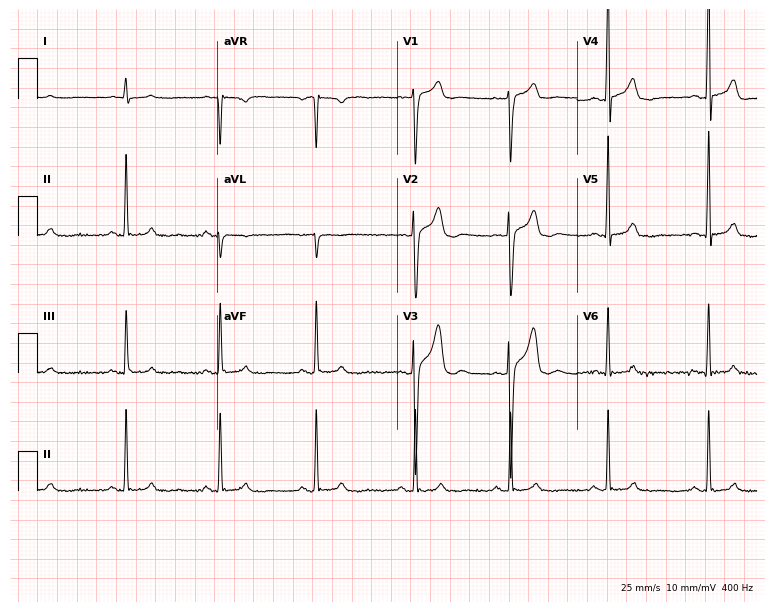
Electrocardiogram (7.3-second recording at 400 Hz), a 20-year-old female. Overall reading on record: normal ECG.